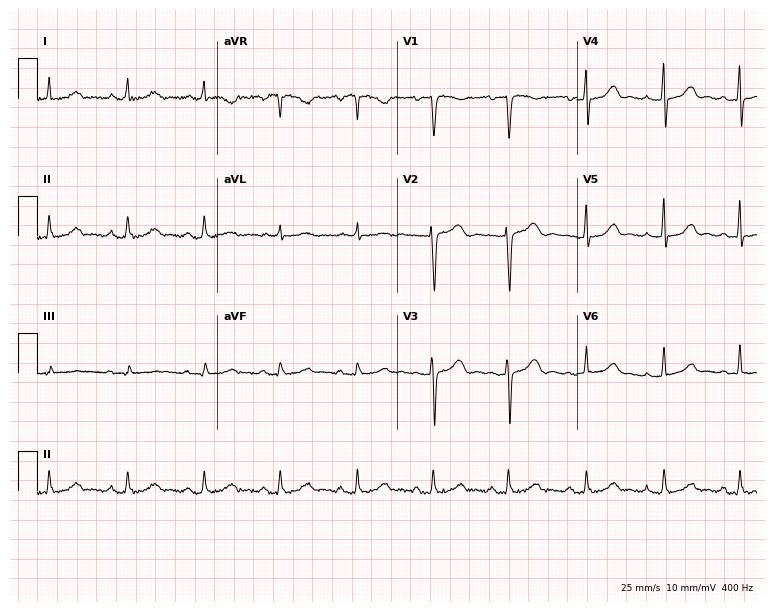
12-lead ECG from a 55-year-old female. Recorded interpretation: within normal limits.